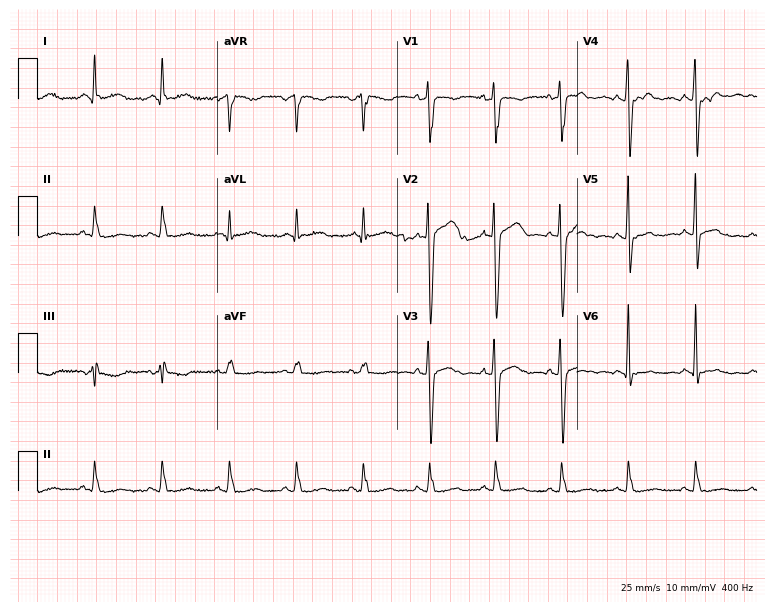
Electrocardiogram, a 25-year-old male patient. Of the six screened findings (first-degree AV block, right bundle branch block, left bundle branch block, sinus bradycardia, atrial fibrillation, sinus tachycardia), none is recorded. Other findings, if any, are not listed.